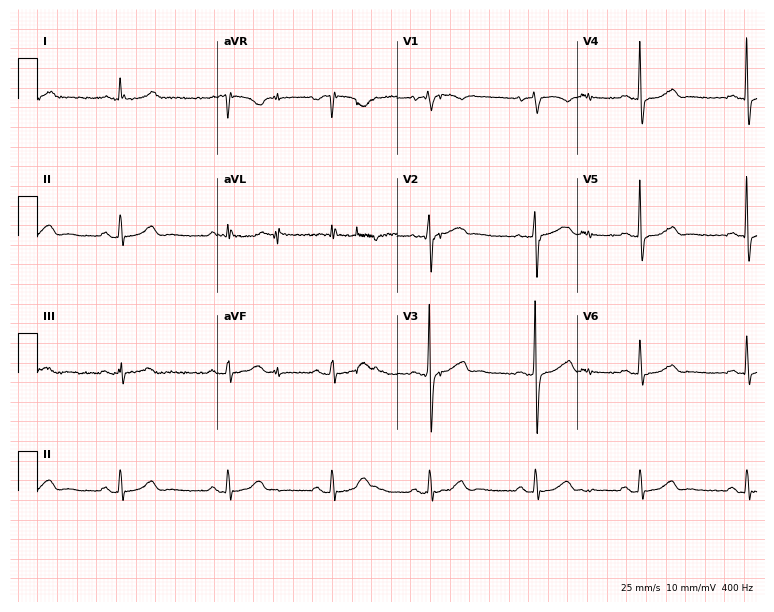
Resting 12-lead electrocardiogram. Patient: a woman, 70 years old. None of these six findings is recorded: first-degree AV block, right bundle branch block (RBBB), left bundle branch block (LBBB), sinus bradycardia, atrial fibrillation (AF), sinus tachycardia.